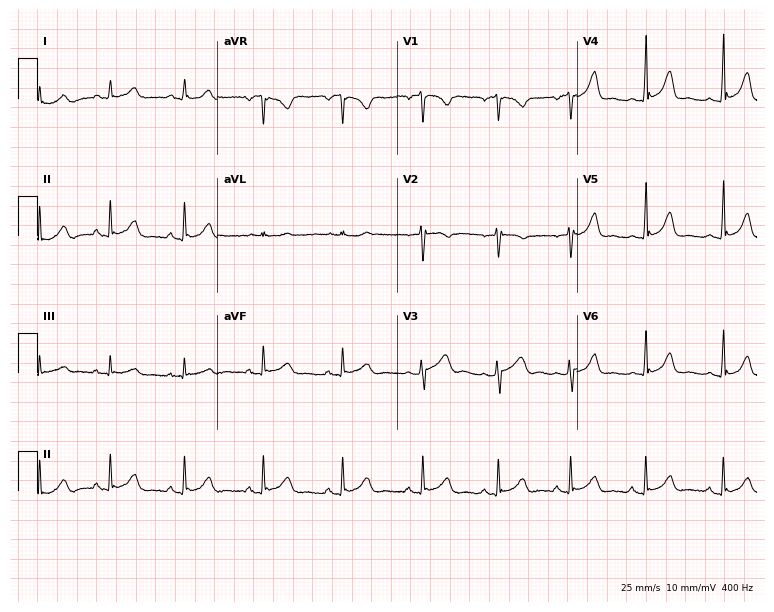
Standard 12-lead ECG recorded from a woman, 38 years old (7.3-second recording at 400 Hz). None of these six findings is recorded: first-degree AV block, right bundle branch block, left bundle branch block, sinus bradycardia, atrial fibrillation, sinus tachycardia.